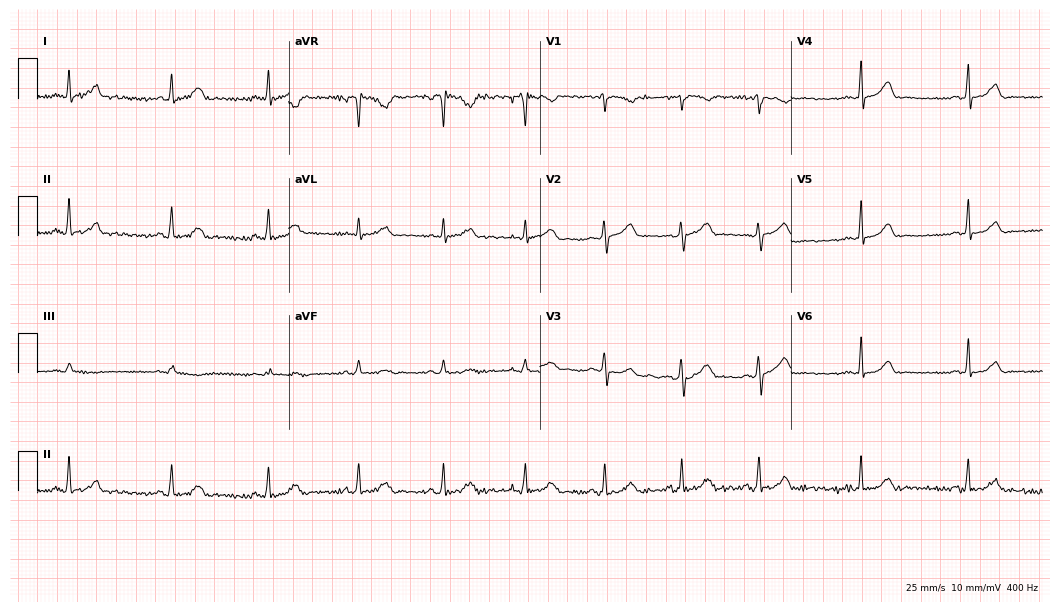
12-lead ECG from a 26-year-old female (10.2-second recording at 400 Hz). No first-degree AV block, right bundle branch block, left bundle branch block, sinus bradycardia, atrial fibrillation or sinus tachycardia recorded for this tracing.